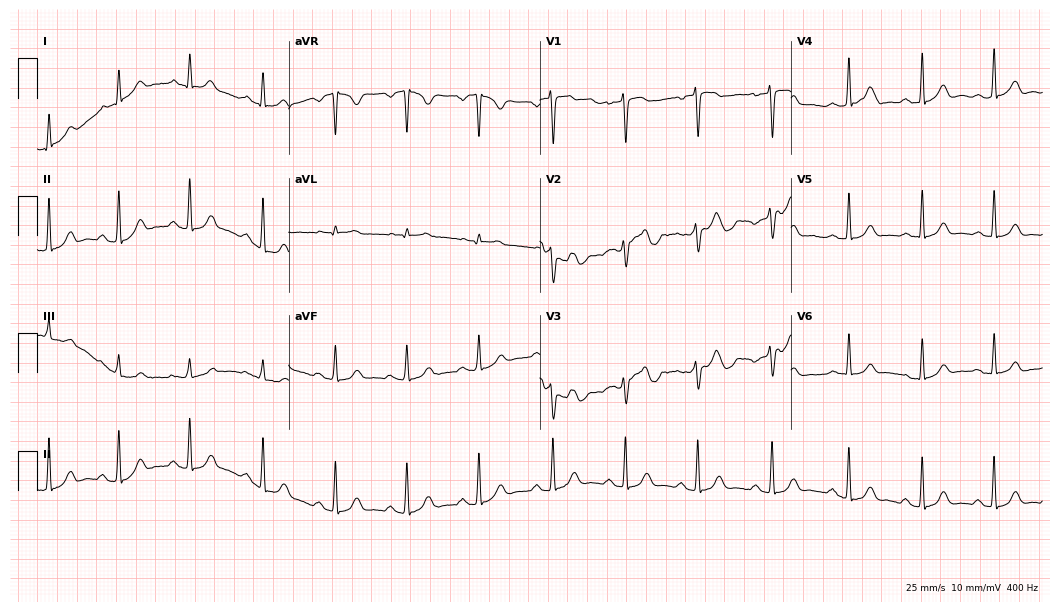
12-lead ECG from a female, 32 years old (10.2-second recording at 400 Hz). Recorded interpretation: within normal limits.